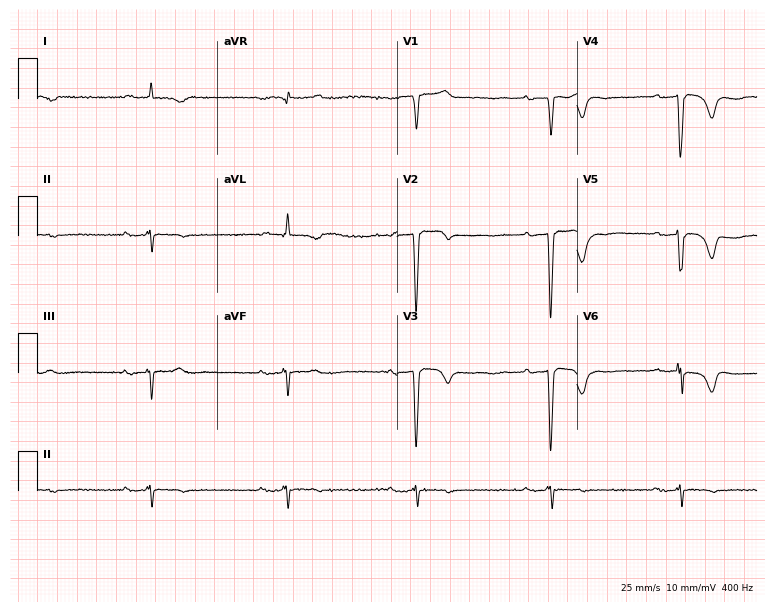
Electrocardiogram, a 78-year-old male. Of the six screened findings (first-degree AV block, right bundle branch block, left bundle branch block, sinus bradycardia, atrial fibrillation, sinus tachycardia), none is recorded. Findings outside these six are not listed.